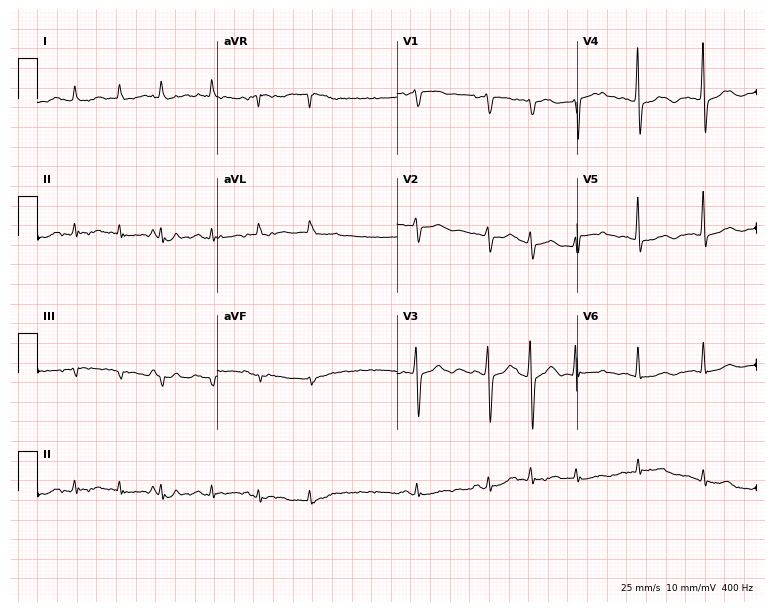
Electrocardiogram (7.3-second recording at 400 Hz), a female, 77 years old. Of the six screened findings (first-degree AV block, right bundle branch block, left bundle branch block, sinus bradycardia, atrial fibrillation, sinus tachycardia), none is recorded.